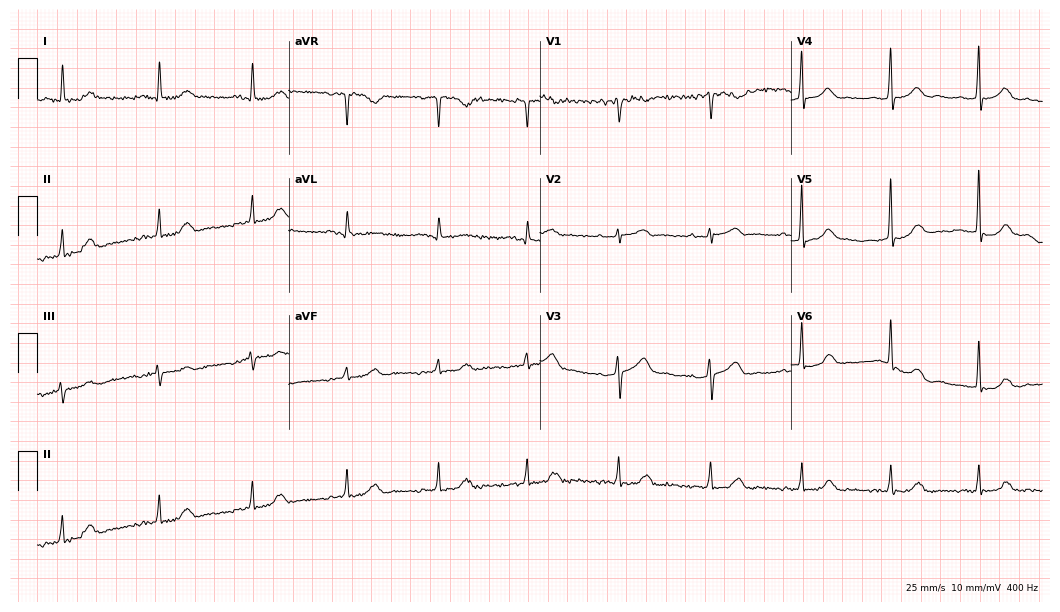
Standard 12-lead ECG recorded from a female patient, 61 years old. Read as a normal ECG.